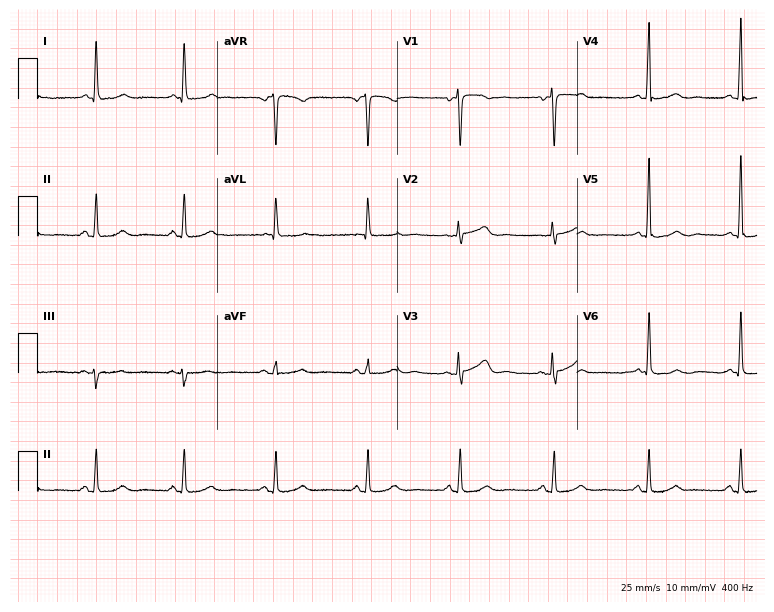
Standard 12-lead ECG recorded from a 57-year-old female. Read as a normal ECG.